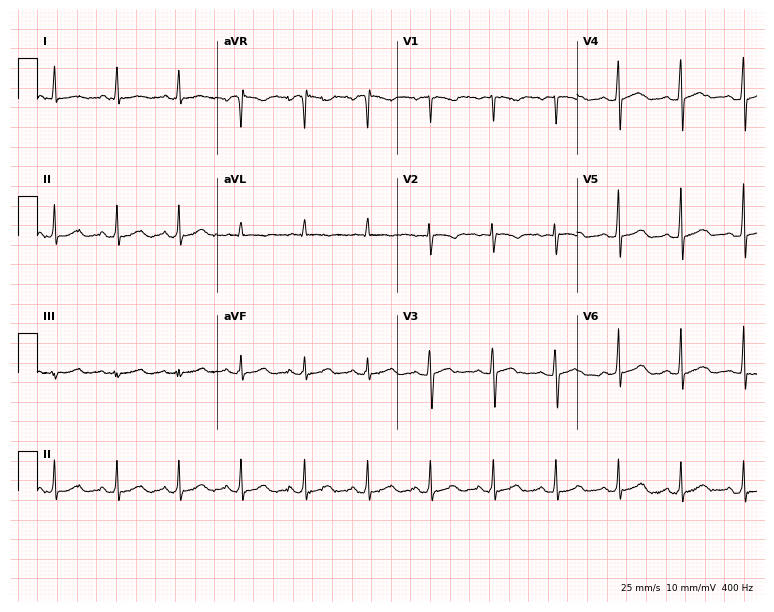
12-lead ECG (7.3-second recording at 400 Hz) from a 35-year-old female patient. Screened for six findings — first-degree AV block, right bundle branch block, left bundle branch block, sinus bradycardia, atrial fibrillation, sinus tachycardia — none is recorded.